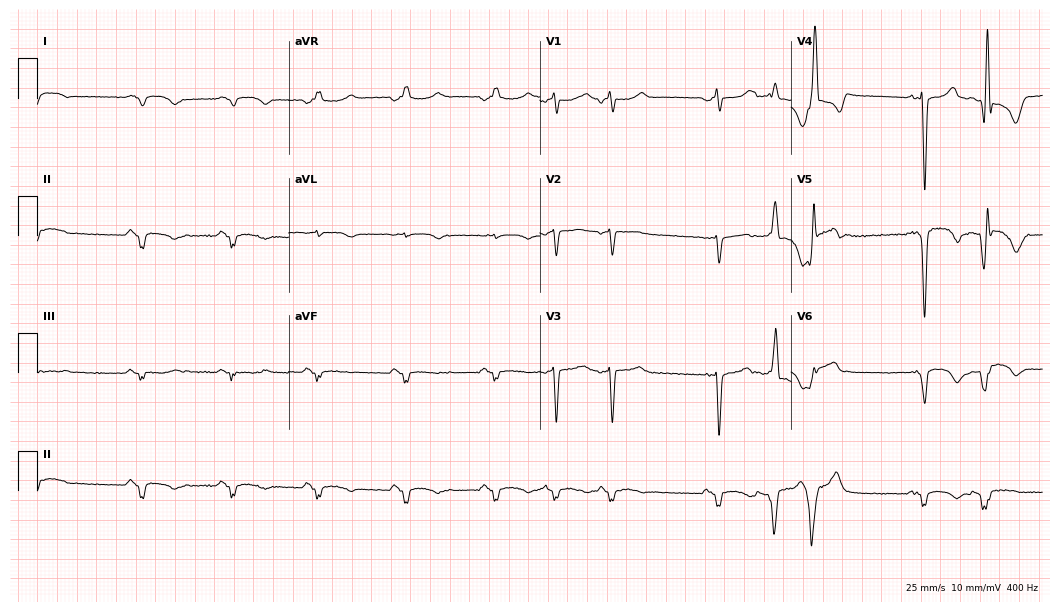
ECG (10.2-second recording at 400 Hz) — a male, 61 years old. Screened for six findings — first-degree AV block, right bundle branch block (RBBB), left bundle branch block (LBBB), sinus bradycardia, atrial fibrillation (AF), sinus tachycardia — none is recorded.